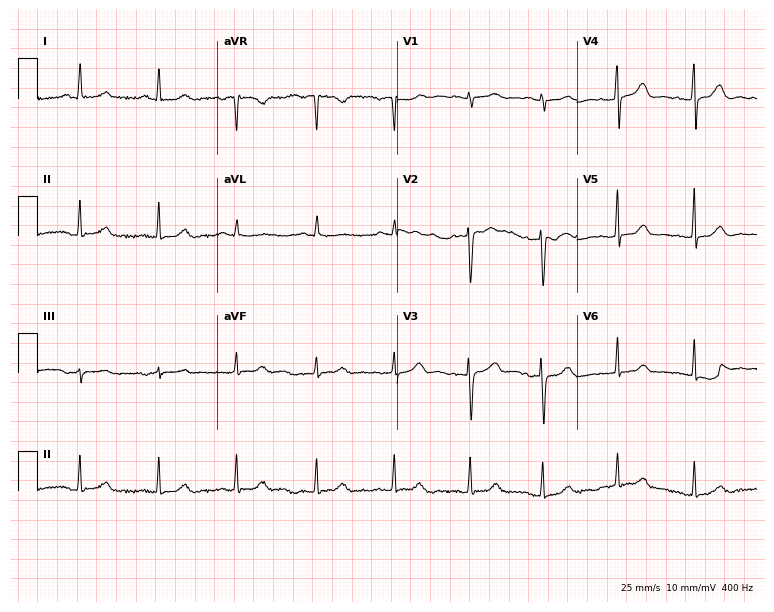
Resting 12-lead electrocardiogram (7.3-second recording at 400 Hz). Patient: a woman, 56 years old. Read as a normal ECG.